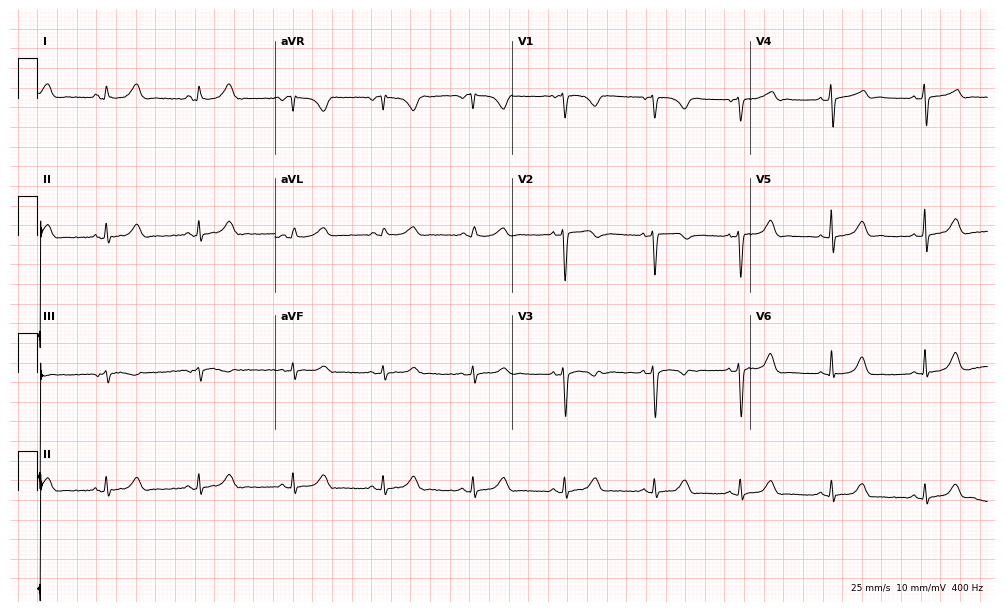
Electrocardiogram (9.7-second recording at 400 Hz), a 38-year-old female. Of the six screened findings (first-degree AV block, right bundle branch block (RBBB), left bundle branch block (LBBB), sinus bradycardia, atrial fibrillation (AF), sinus tachycardia), none is recorded.